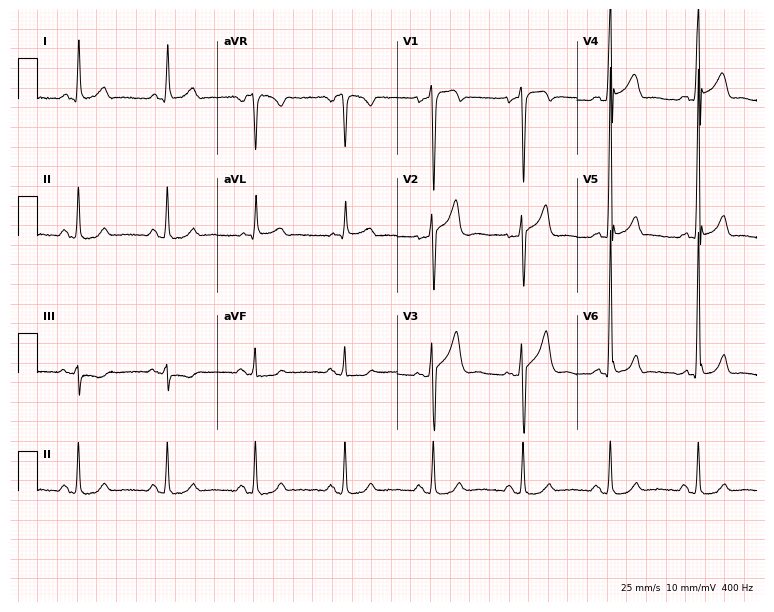
12-lead ECG from a 50-year-old man (7.3-second recording at 400 Hz). No first-degree AV block, right bundle branch block, left bundle branch block, sinus bradycardia, atrial fibrillation or sinus tachycardia recorded for this tracing. Findings outside these six are not listed.